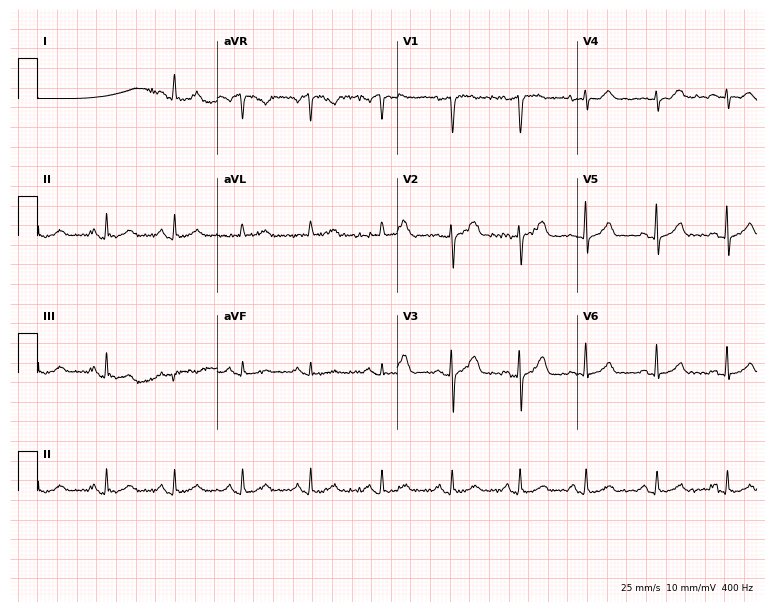
12-lead ECG from a female patient, 63 years old (7.3-second recording at 400 Hz). Recorded interpretation: within normal limits.